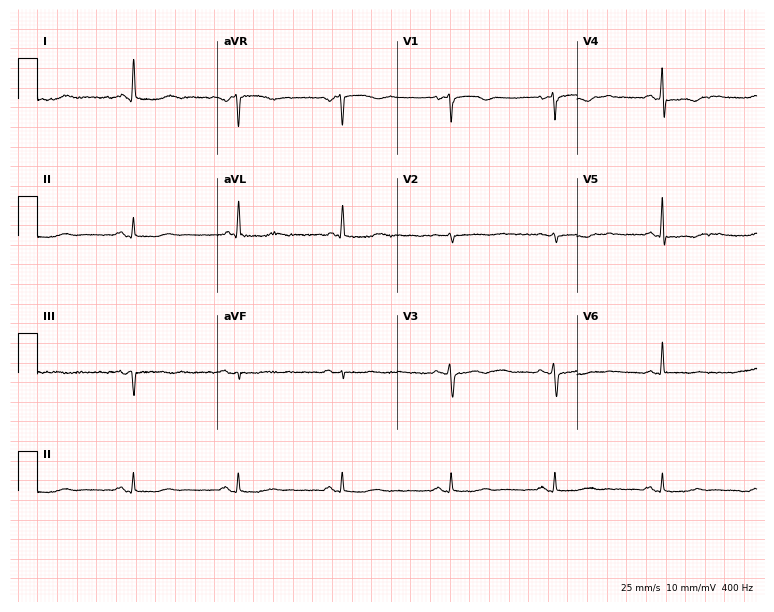
12-lead ECG from a woman, 63 years old (7.3-second recording at 400 Hz). No first-degree AV block, right bundle branch block (RBBB), left bundle branch block (LBBB), sinus bradycardia, atrial fibrillation (AF) or sinus tachycardia recorded for this tracing. Other findings, if any, are not listed.